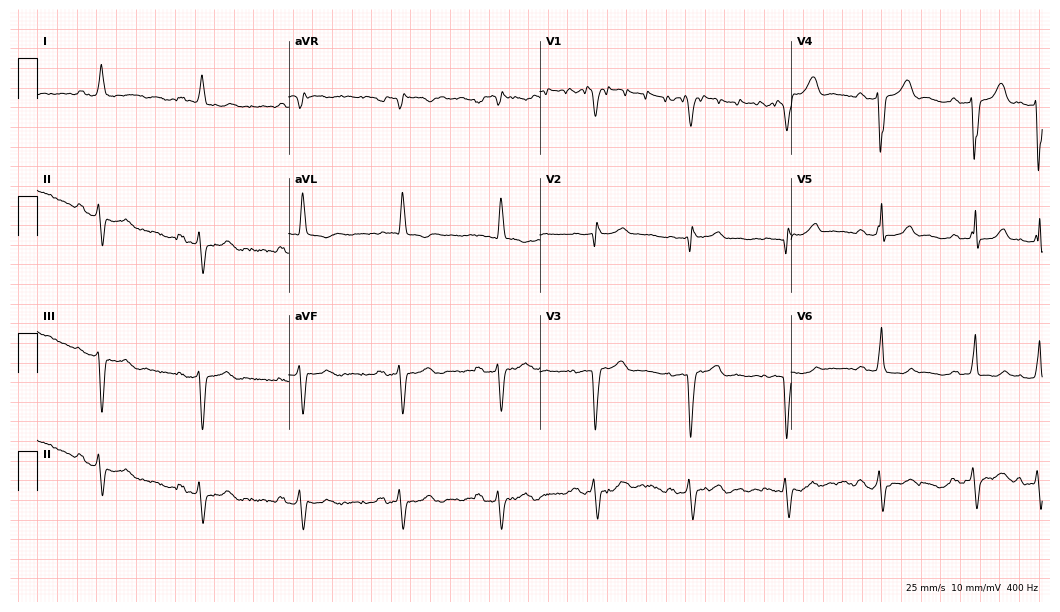
ECG — an 82-year-old female patient. Screened for six findings — first-degree AV block, right bundle branch block, left bundle branch block, sinus bradycardia, atrial fibrillation, sinus tachycardia — none is recorded.